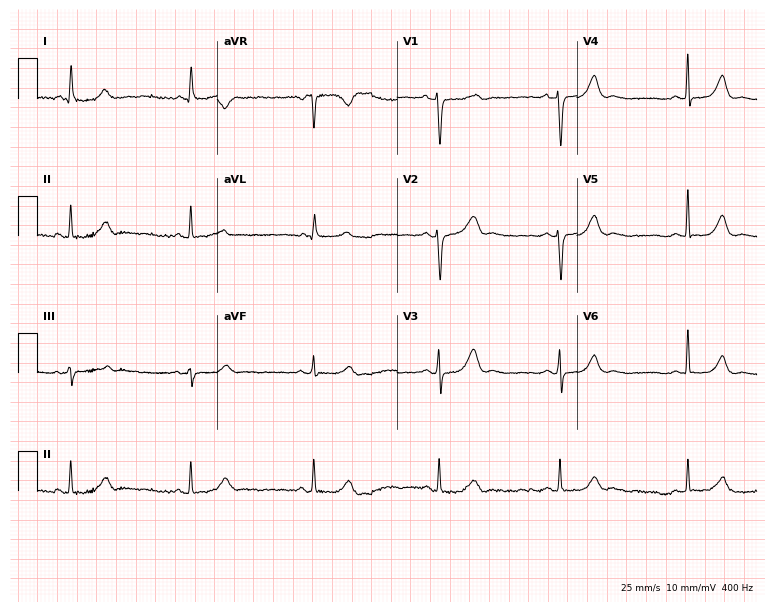
Resting 12-lead electrocardiogram (7.3-second recording at 400 Hz). Patient: a 57-year-old woman. None of these six findings is recorded: first-degree AV block, right bundle branch block (RBBB), left bundle branch block (LBBB), sinus bradycardia, atrial fibrillation (AF), sinus tachycardia. Other findings, if any, are not listed.